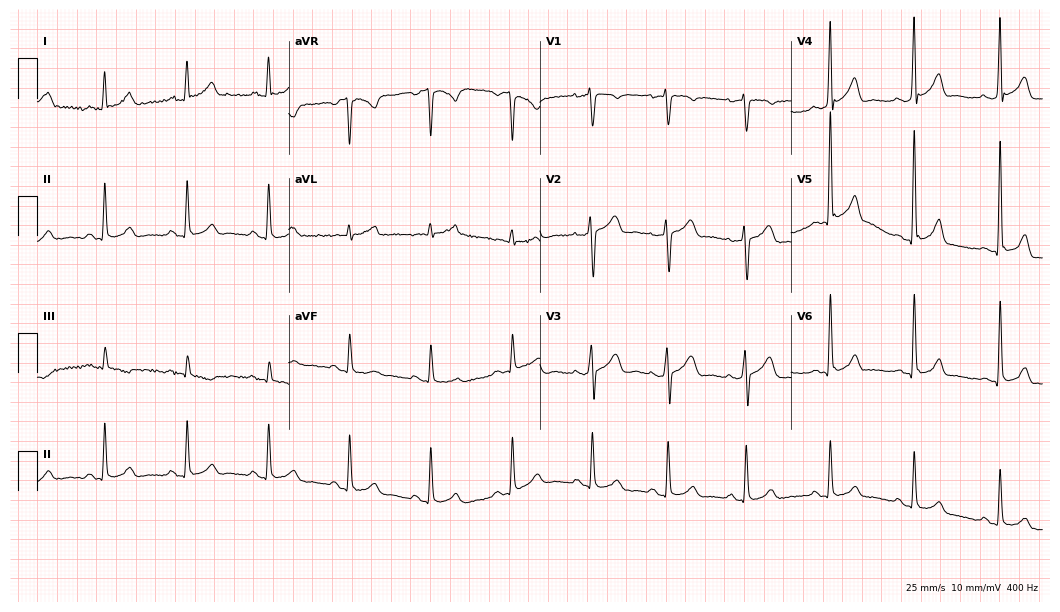
Standard 12-lead ECG recorded from a 48-year-old man. Read as a normal ECG.